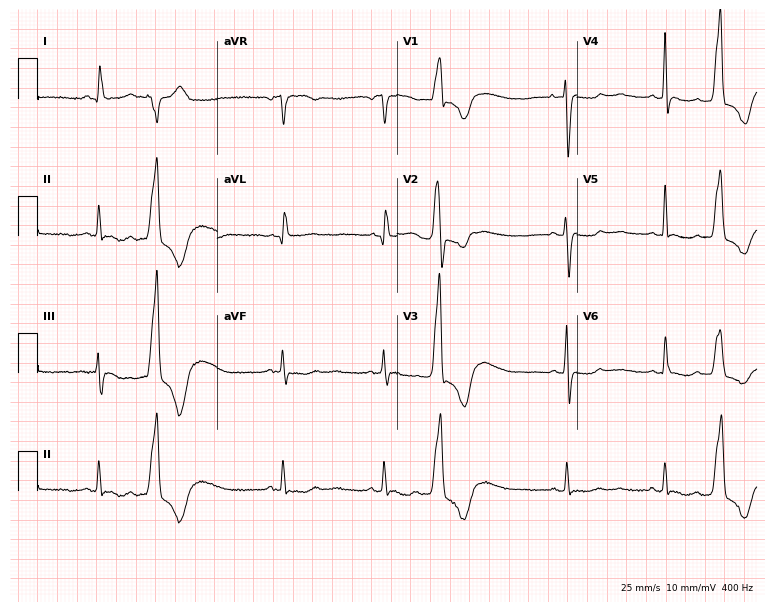
12-lead ECG from a 58-year-old female patient (7.3-second recording at 400 Hz). No first-degree AV block, right bundle branch block, left bundle branch block, sinus bradycardia, atrial fibrillation or sinus tachycardia recorded for this tracing.